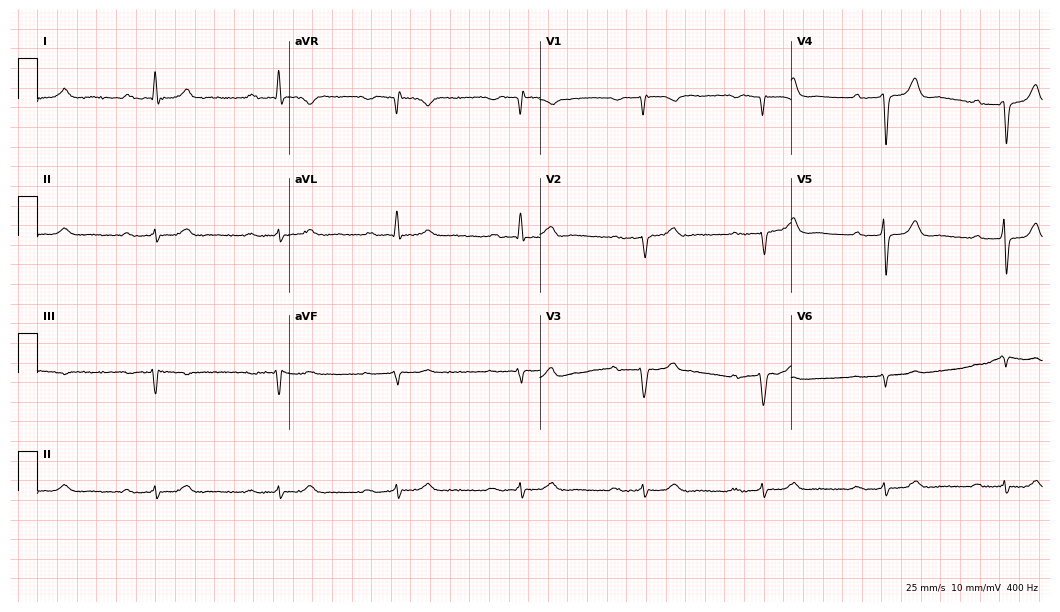
Resting 12-lead electrocardiogram (10.2-second recording at 400 Hz). Patient: a 72-year-old male. The tracing shows first-degree AV block, right bundle branch block, sinus bradycardia (a sinus rate of 50 beats per minute or less).